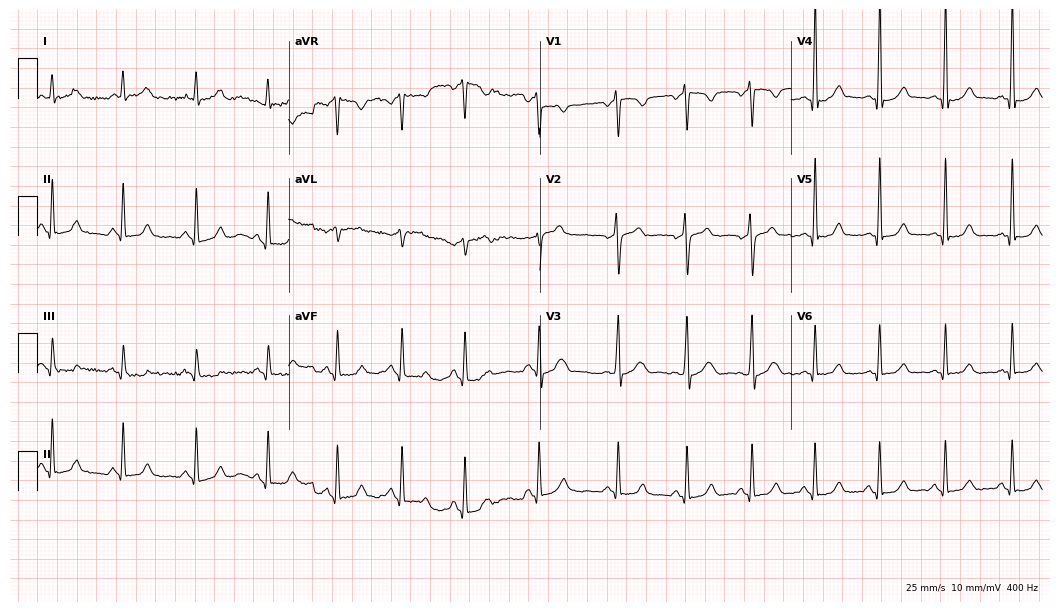
ECG — a male patient, 43 years old. Labelled as a normal ECG.